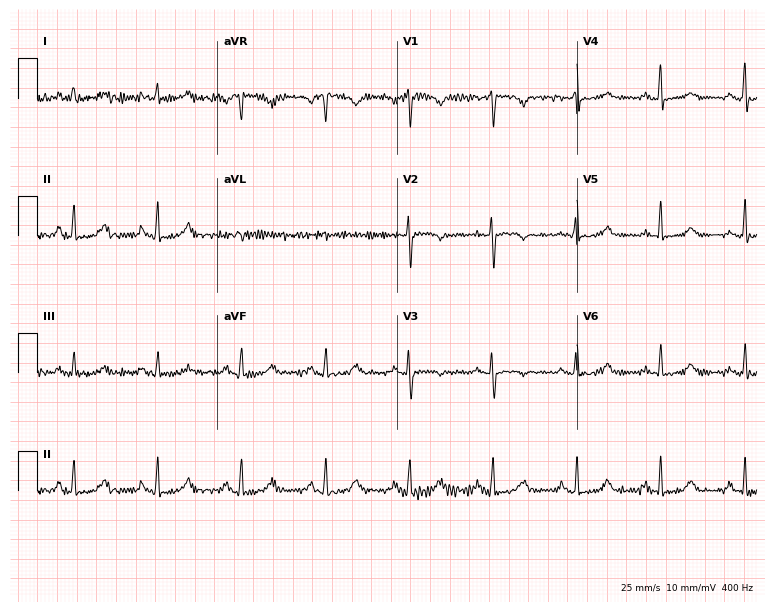
Resting 12-lead electrocardiogram (7.3-second recording at 400 Hz). Patient: a 68-year-old female. None of these six findings is recorded: first-degree AV block, right bundle branch block, left bundle branch block, sinus bradycardia, atrial fibrillation, sinus tachycardia. Findings outside these six are not listed.